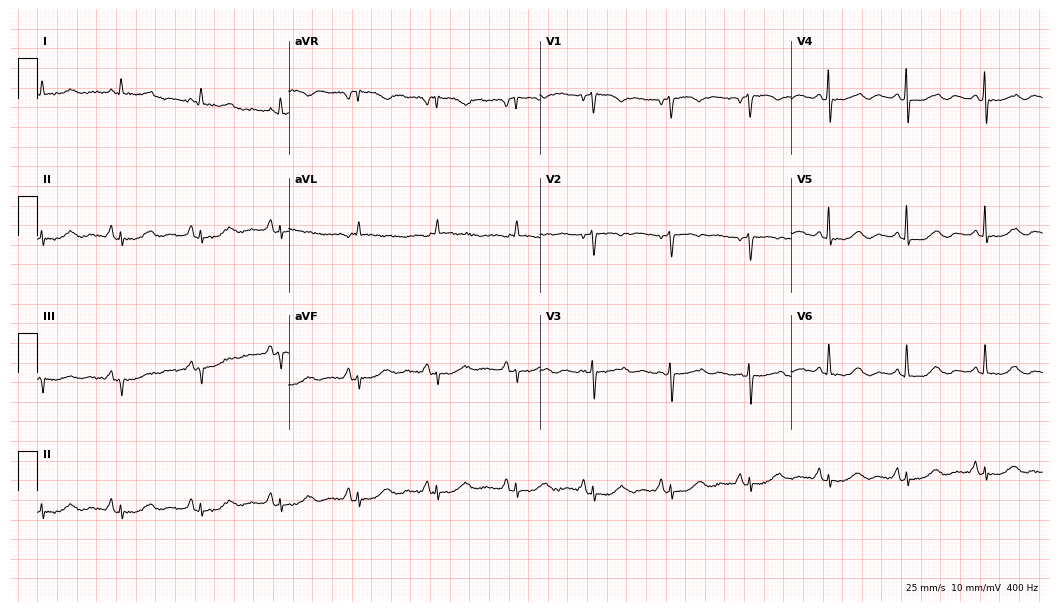
Electrocardiogram (10.2-second recording at 400 Hz), a female patient, 75 years old. Of the six screened findings (first-degree AV block, right bundle branch block, left bundle branch block, sinus bradycardia, atrial fibrillation, sinus tachycardia), none is recorded. Other findings, if any, are not listed.